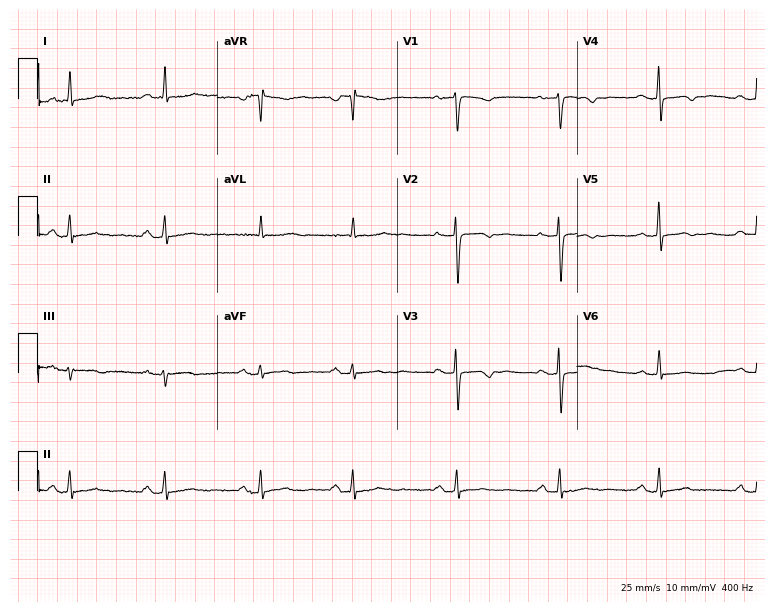
12-lead ECG (7.3-second recording at 400 Hz) from a woman, 45 years old. Screened for six findings — first-degree AV block, right bundle branch block, left bundle branch block, sinus bradycardia, atrial fibrillation, sinus tachycardia — none is recorded.